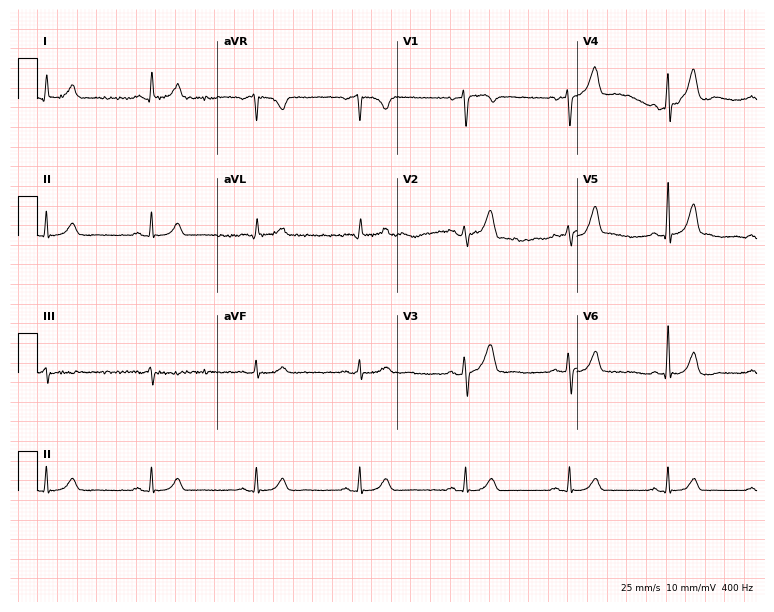
Standard 12-lead ECG recorded from a male, 60 years old. Read as a normal ECG.